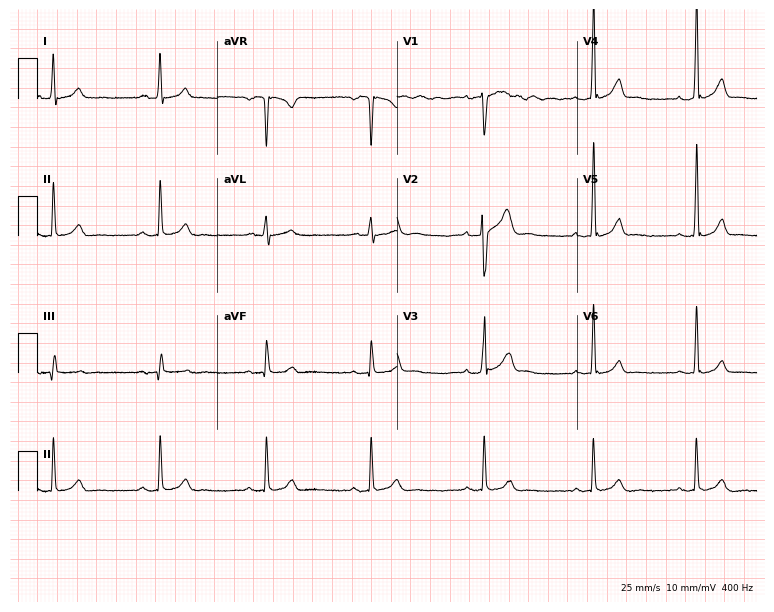
ECG — a 22-year-old man. Labelled as a normal ECG.